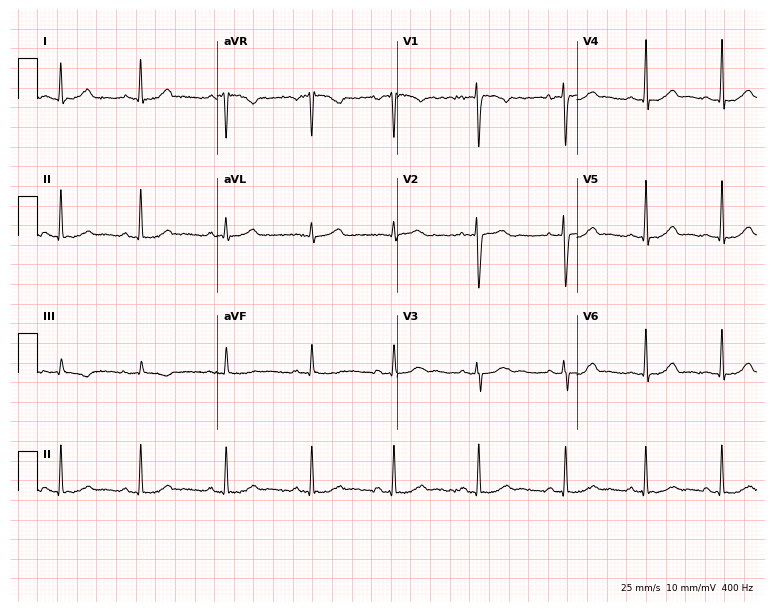
Resting 12-lead electrocardiogram. Patient: a female, 30 years old. Read as a normal ECG.